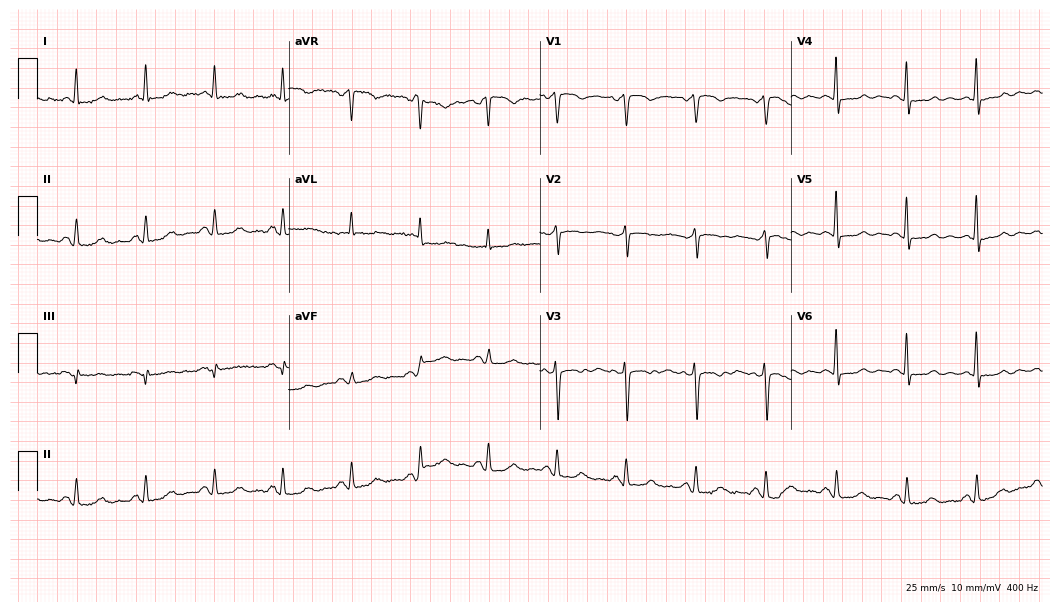
12-lead ECG from a female, 75 years old (10.2-second recording at 400 Hz). No first-degree AV block, right bundle branch block, left bundle branch block, sinus bradycardia, atrial fibrillation or sinus tachycardia recorded for this tracing. Only these six findings were labelled.